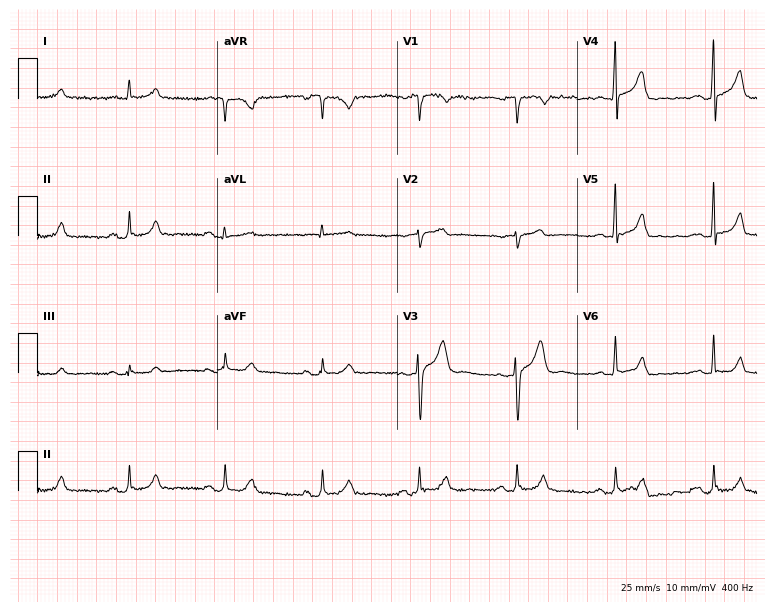
Resting 12-lead electrocardiogram. Patient: a 58-year-old male. Read as a normal ECG.